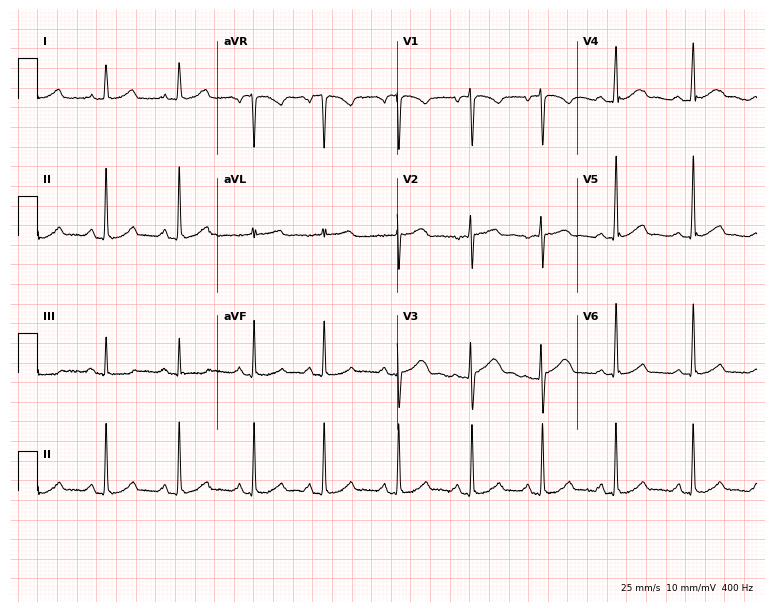
12-lead ECG from a 36-year-old woman. No first-degree AV block, right bundle branch block, left bundle branch block, sinus bradycardia, atrial fibrillation or sinus tachycardia recorded for this tracing.